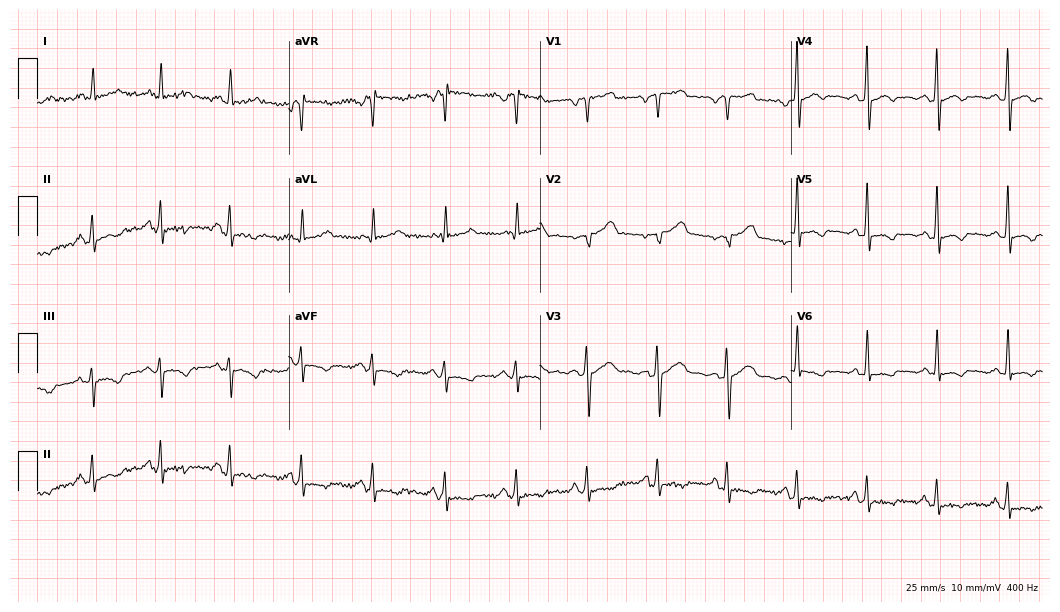
ECG (10.2-second recording at 400 Hz) — a man, 54 years old. Screened for six findings — first-degree AV block, right bundle branch block (RBBB), left bundle branch block (LBBB), sinus bradycardia, atrial fibrillation (AF), sinus tachycardia — none is recorded.